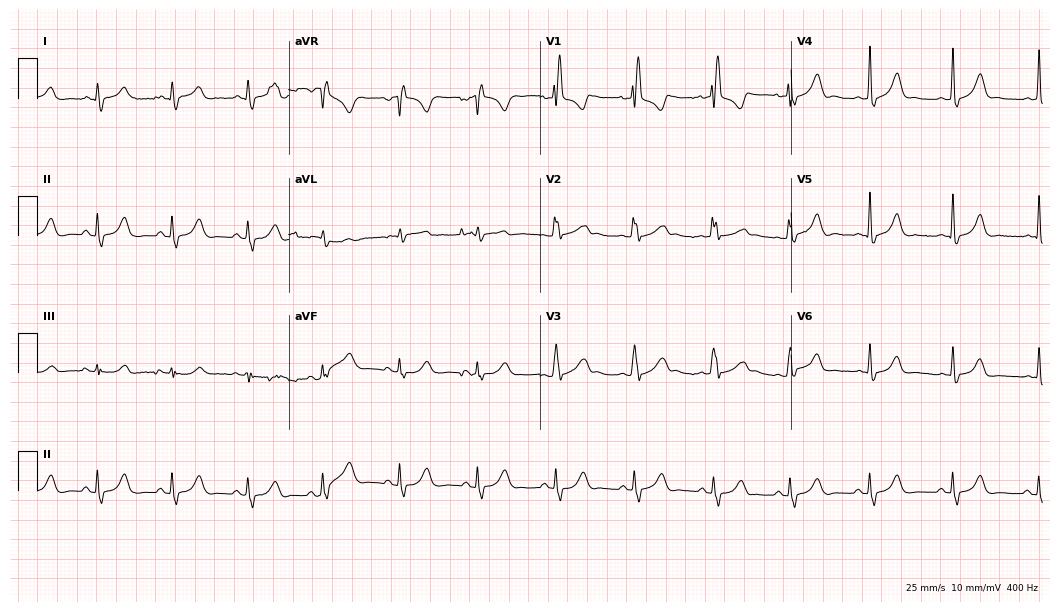
ECG — a 47-year-old female. Screened for six findings — first-degree AV block, right bundle branch block (RBBB), left bundle branch block (LBBB), sinus bradycardia, atrial fibrillation (AF), sinus tachycardia — none is recorded. Other findings, if any, are not listed.